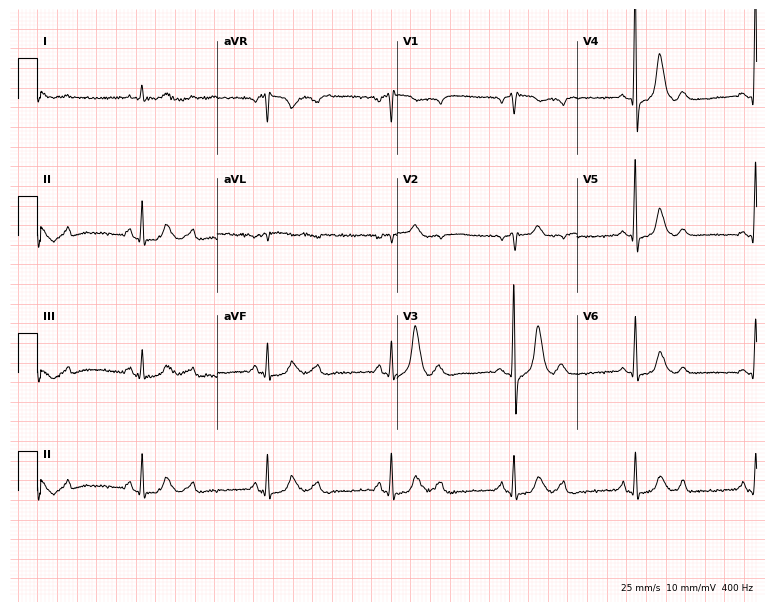
12-lead ECG (7.3-second recording at 400 Hz) from a woman, 74 years old. Screened for six findings — first-degree AV block, right bundle branch block, left bundle branch block, sinus bradycardia, atrial fibrillation, sinus tachycardia — none is recorded. Only these six findings were labelled.